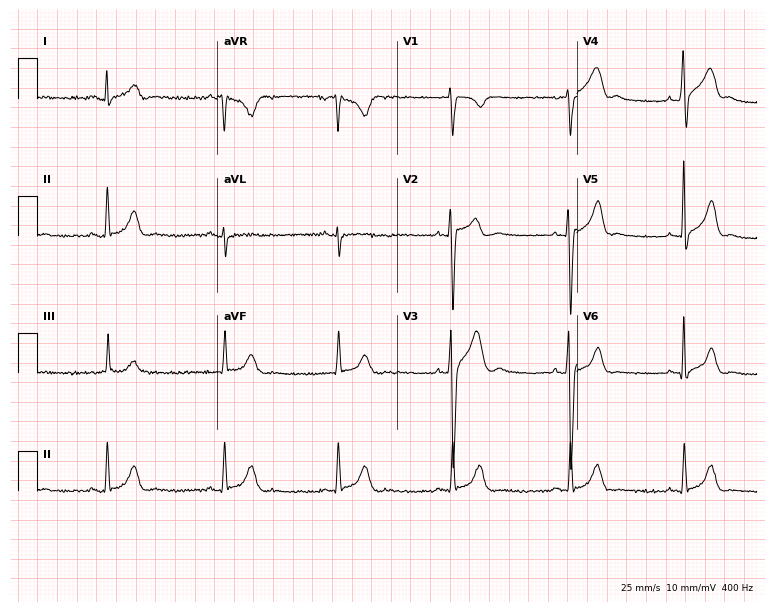
ECG — a 24-year-old man. Screened for six findings — first-degree AV block, right bundle branch block, left bundle branch block, sinus bradycardia, atrial fibrillation, sinus tachycardia — none is recorded. Other findings, if any, are not listed.